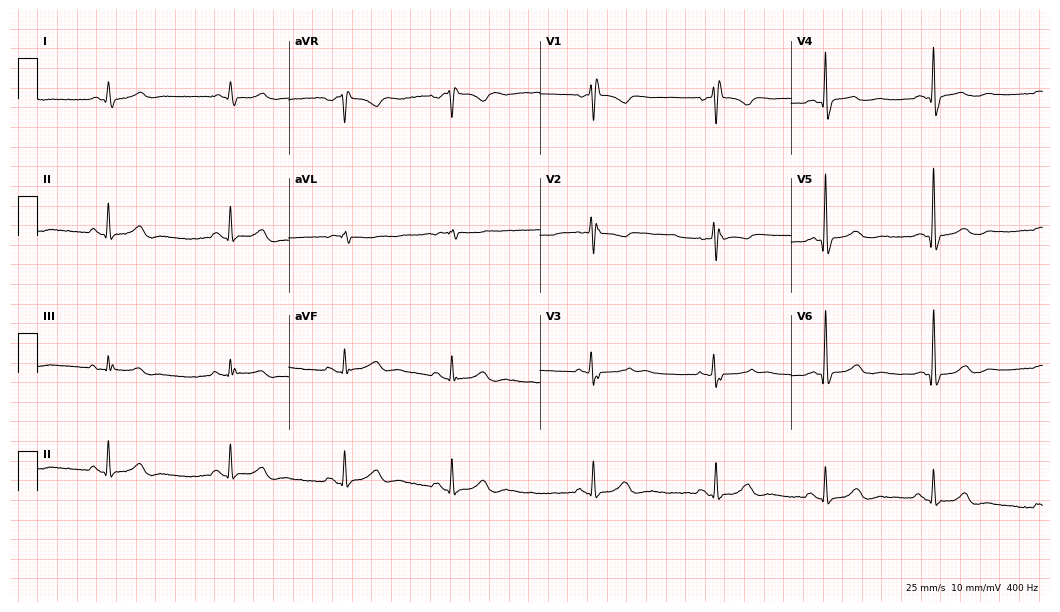
12-lead ECG from a 67-year-old female. Findings include right bundle branch block (RBBB), sinus bradycardia (a sinus rate of 50 beats per minute or less).